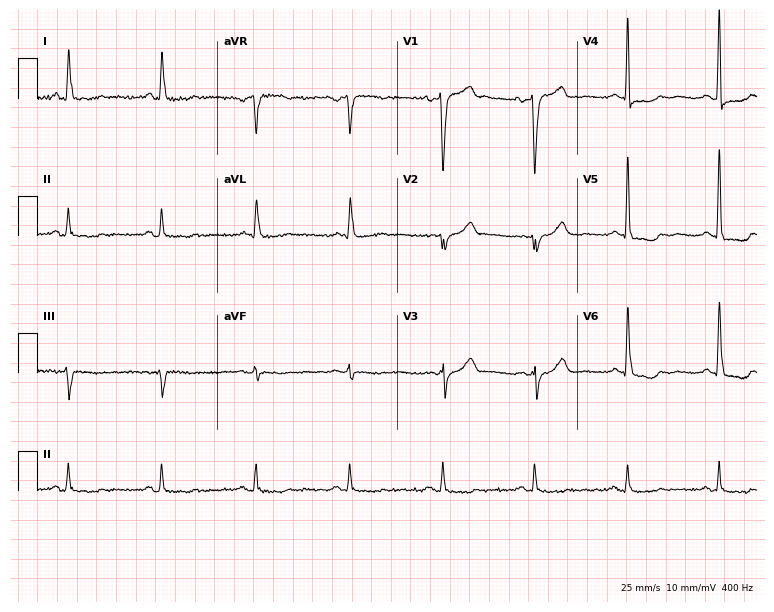
Standard 12-lead ECG recorded from a man, 66 years old (7.3-second recording at 400 Hz). None of these six findings is recorded: first-degree AV block, right bundle branch block, left bundle branch block, sinus bradycardia, atrial fibrillation, sinus tachycardia. Only these six findings were labelled.